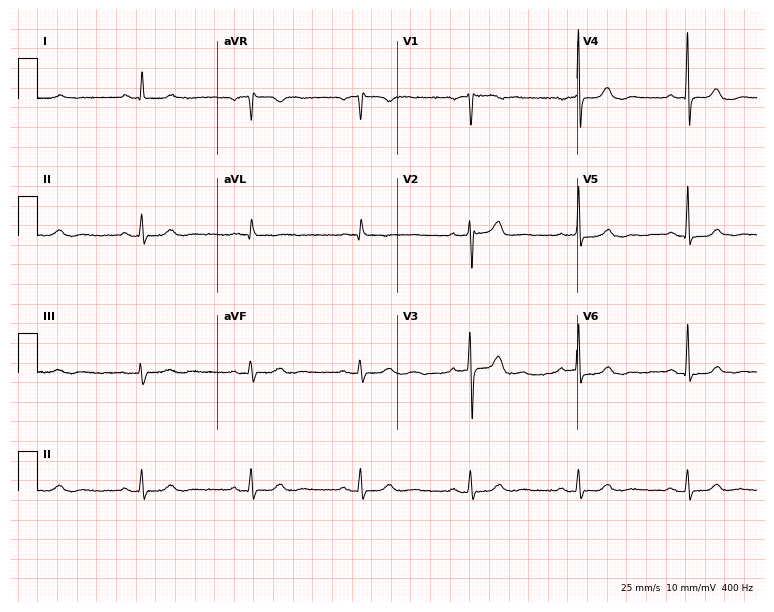
12-lead ECG from an 84-year-old male patient (7.3-second recording at 400 Hz). Recorded interpretation: within normal limits.